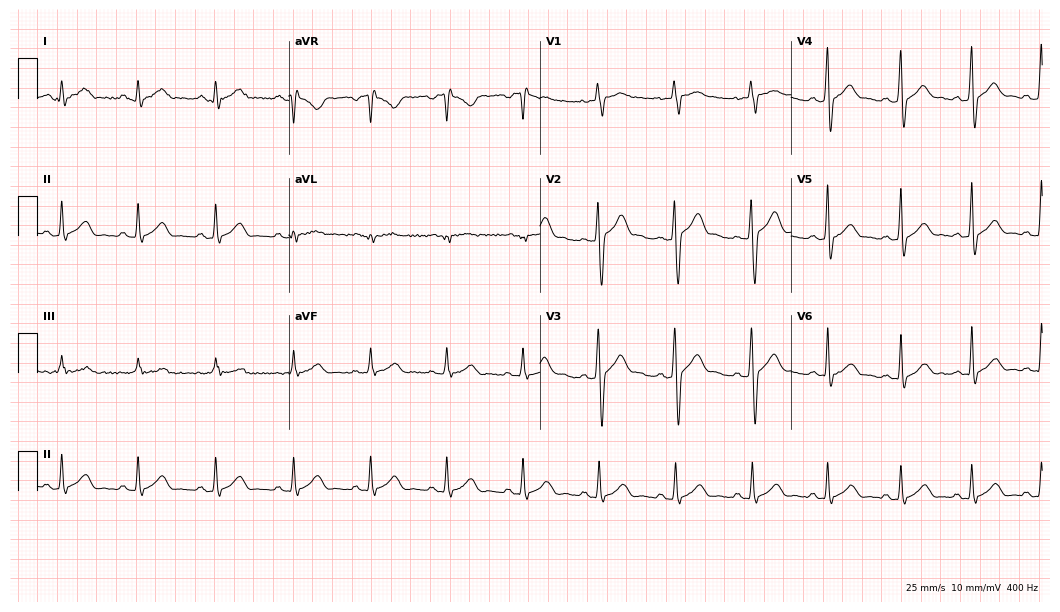
12-lead ECG from a 17-year-old man. Labelled as a normal ECG.